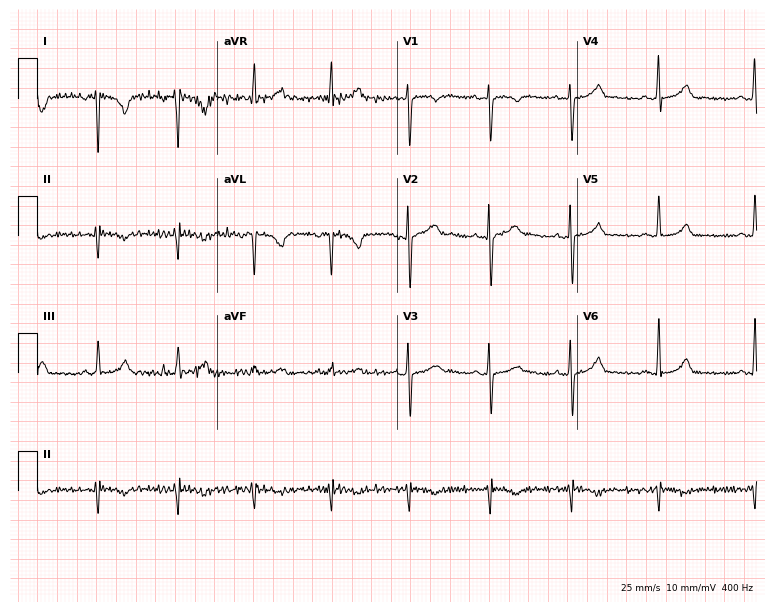
12-lead ECG (7.3-second recording at 400 Hz) from a female, 23 years old. Screened for six findings — first-degree AV block, right bundle branch block, left bundle branch block, sinus bradycardia, atrial fibrillation, sinus tachycardia — none is recorded. Other findings, if any, are not listed.